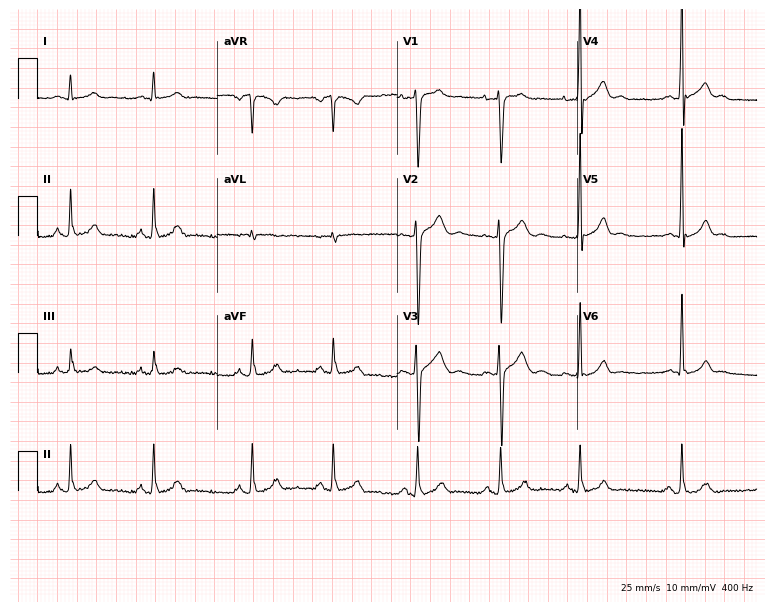
Resting 12-lead electrocardiogram (7.3-second recording at 400 Hz). Patient: a man, 20 years old. Read as a normal ECG.